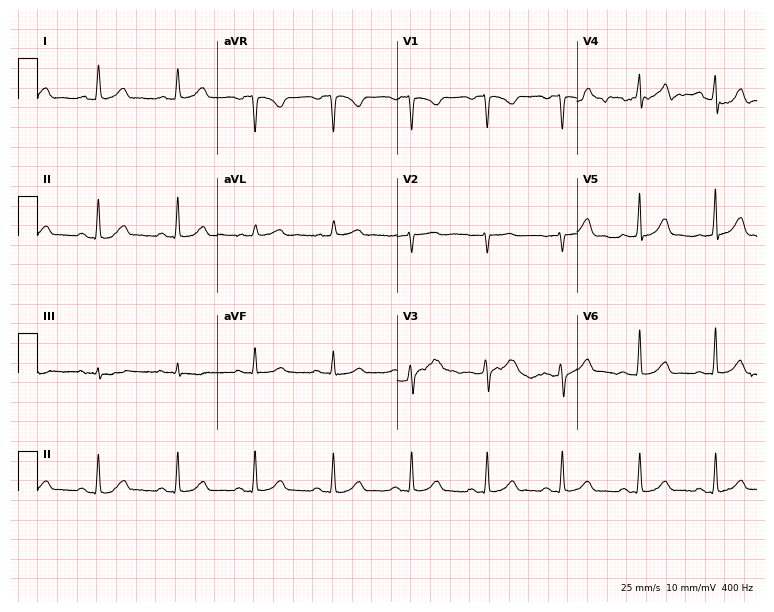
Standard 12-lead ECG recorded from a 29-year-old female (7.3-second recording at 400 Hz). Read as a normal ECG.